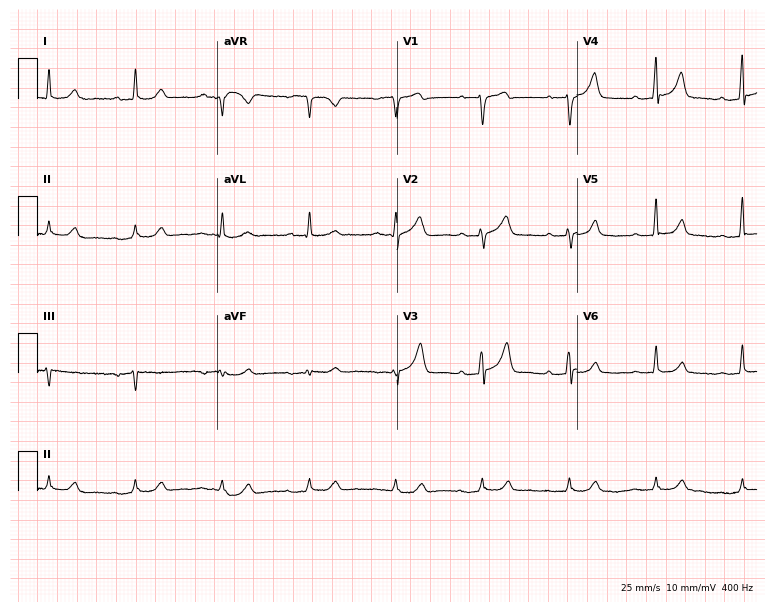
Electrocardiogram (7.3-second recording at 400 Hz), a 66-year-old male patient. Overall reading on record: normal ECG.